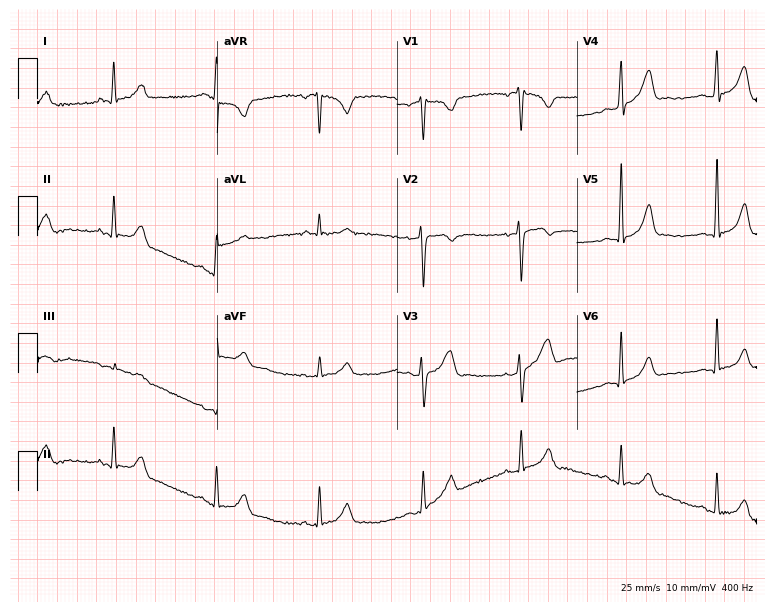
12-lead ECG from a woman, 30 years old. Screened for six findings — first-degree AV block, right bundle branch block, left bundle branch block, sinus bradycardia, atrial fibrillation, sinus tachycardia — none is recorded.